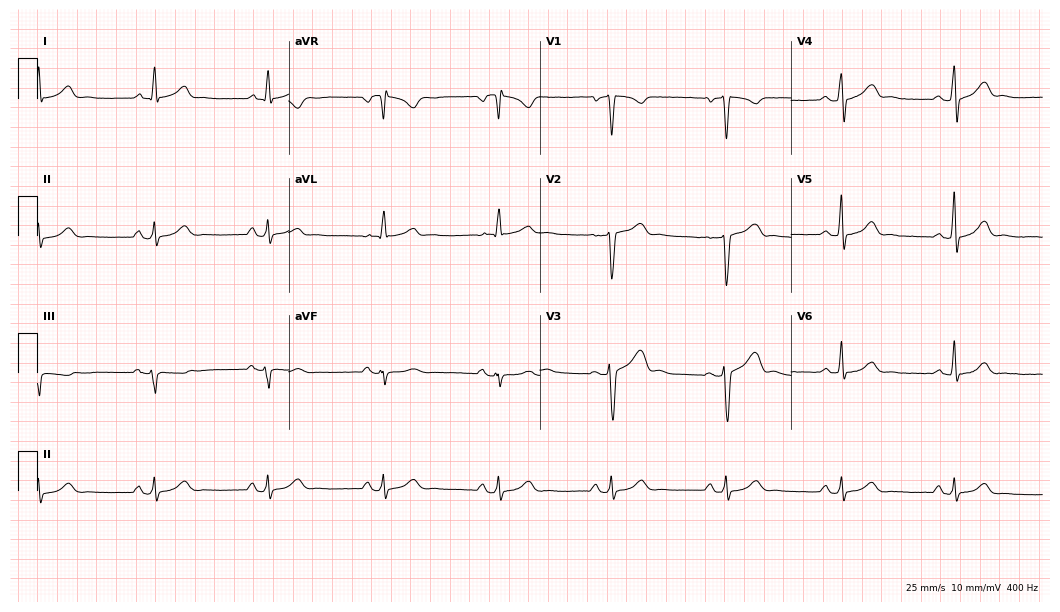
12-lead ECG from a man, 58 years old. Labelled as a normal ECG.